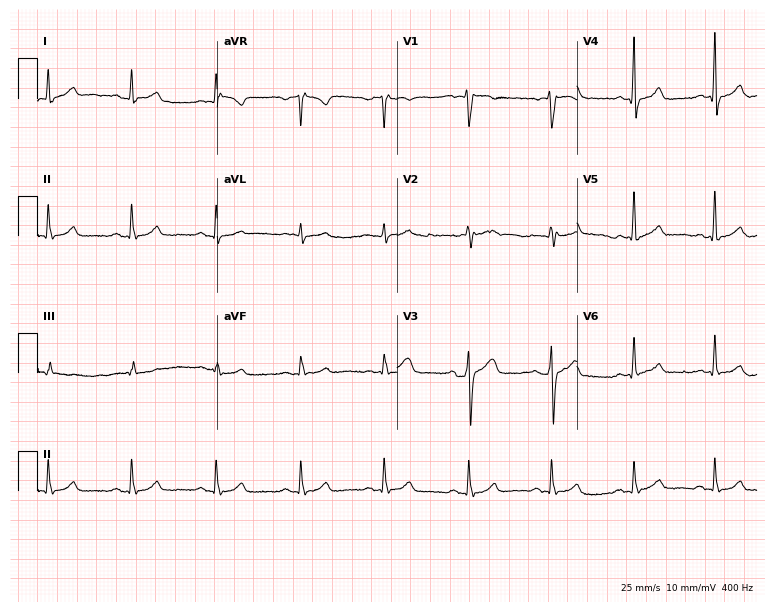
12-lead ECG from a 64-year-old male. Labelled as a normal ECG.